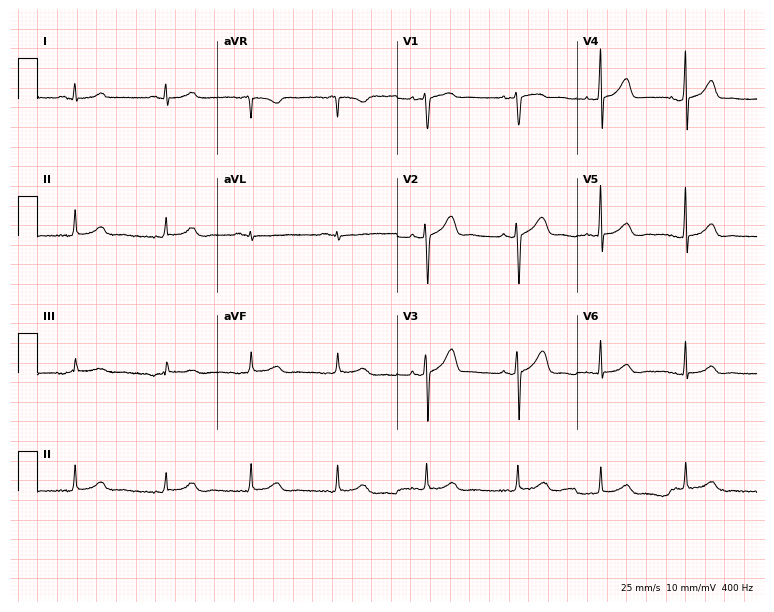
Electrocardiogram (7.3-second recording at 400 Hz), a 43-year-old woman. Of the six screened findings (first-degree AV block, right bundle branch block (RBBB), left bundle branch block (LBBB), sinus bradycardia, atrial fibrillation (AF), sinus tachycardia), none is recorded. Only these six findings were labelled.